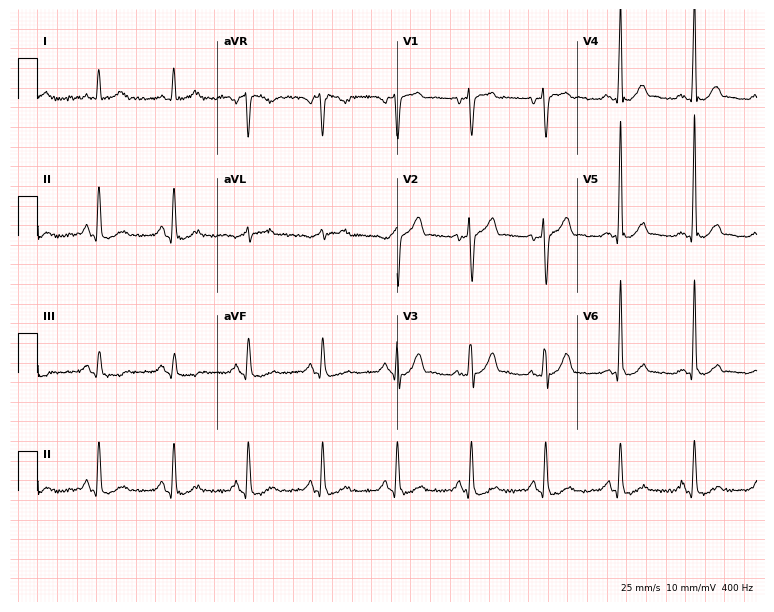
Standard 12-lead ECG recorded from a male patient, 50 years old (7.3-second recording at 400 Hz). None of these six findings is recorded: first-degree AV block, right bundle branch block, left bundle branch block, sinus bradycardia, atrial fibrillation, sinus tachycardia. Other findings, if any, are not listed.